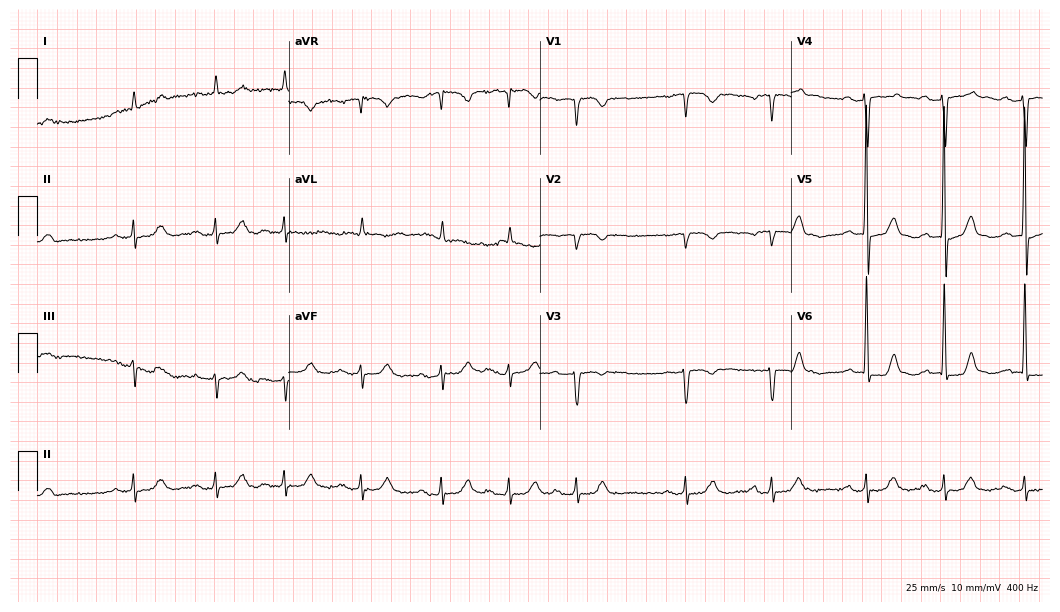
12-lead ECG from a female, 81 years old. No first-degree AV block, right bundle branch block (RBBB), left bundle branch block (LBBB), sinus bradycardia, atrial fibrillation (AF) or sinus tachycardia recorded for this tracing. Other findings, if any, are not listed.